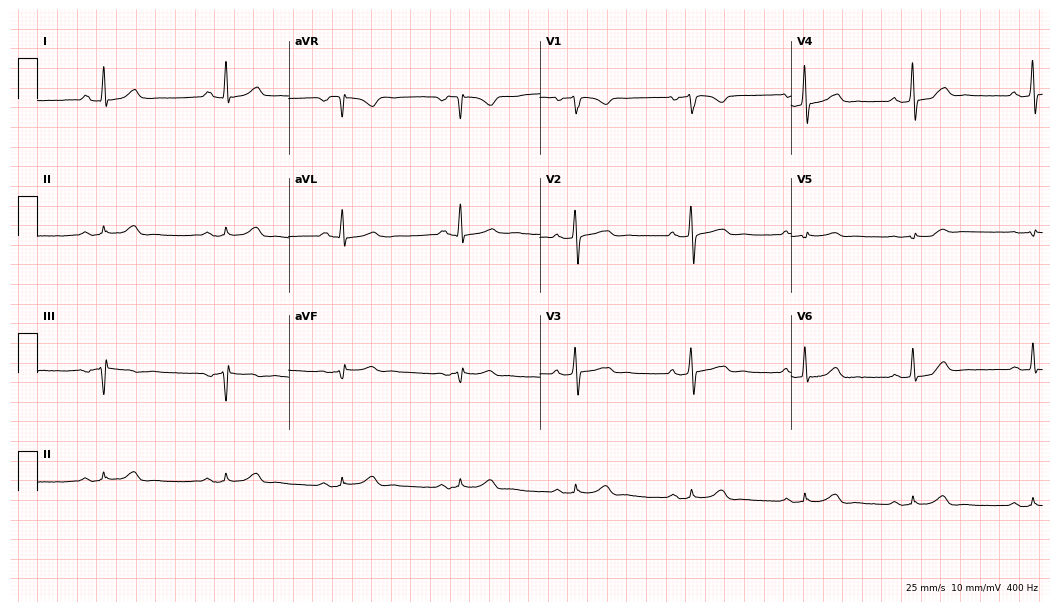
ECG — a 43-year-old male patient. Screened for six findings — first-degree AV block, right bundle branch block, left bundle branch block, sinus bradycardia, atrial fibrillation, sinus tachycardia — none is recorded. Other findings, if any, are not listed.